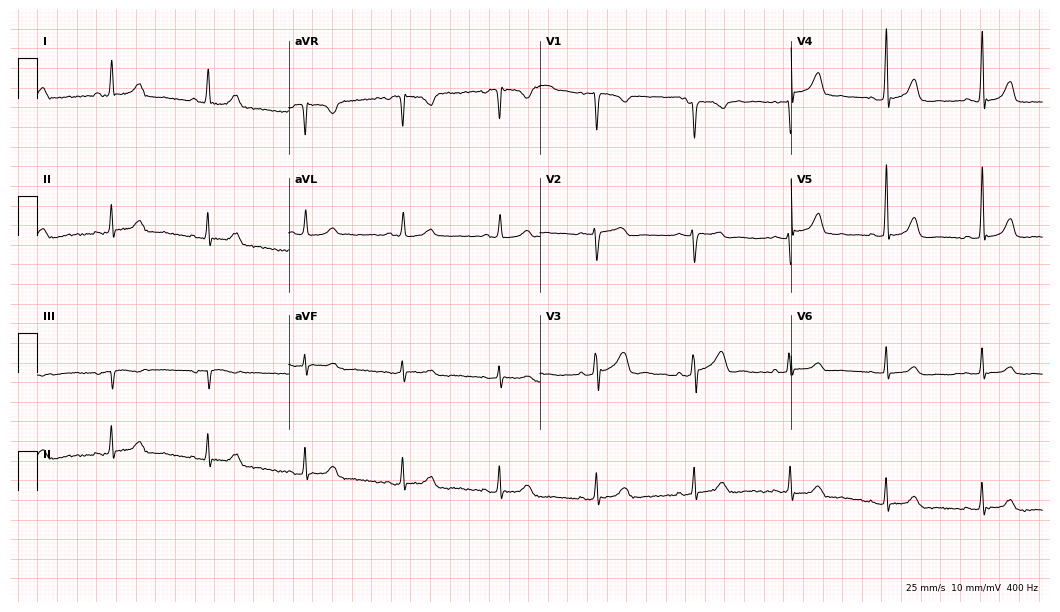
12-lead ECG from a man, 52 years old. Labelled as a normal ECG.